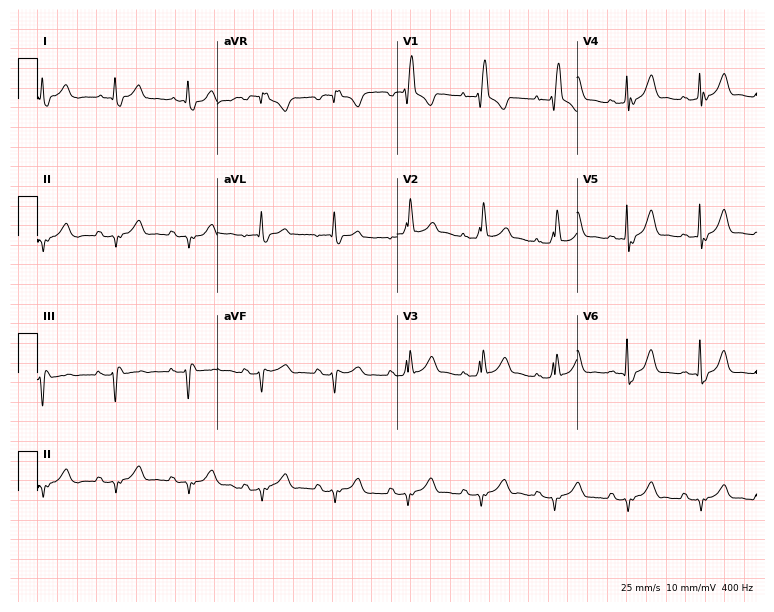
ECG (7.3-second recording at 400 Hz) — a male patient, 83 years old. Screened for six findings — first-degree AV block, right bundle branch block, left bundle branch block, sinus bradycardia, atrial fibrillation, sinus tachycardia — none is recorded.